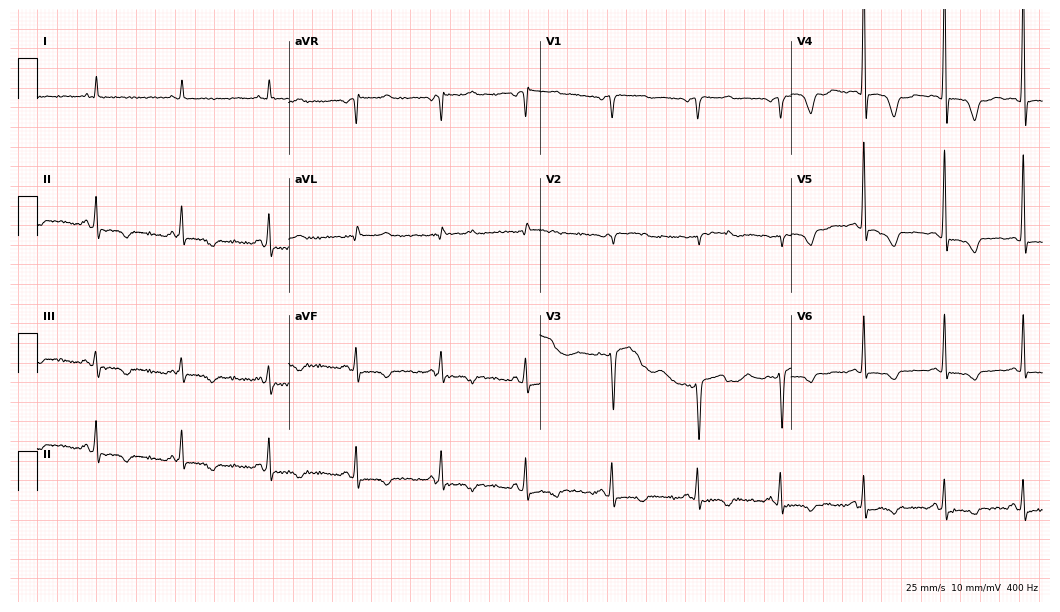
ECG (10.2-second recording at 400 Hz) — a woman, 75 years old. Screened for six findings — first-degree AV block, right bundle branch block, left bundle branch block, sinus bradycardia, atrial fibrillation, sinus tachycardia — none is recorded.